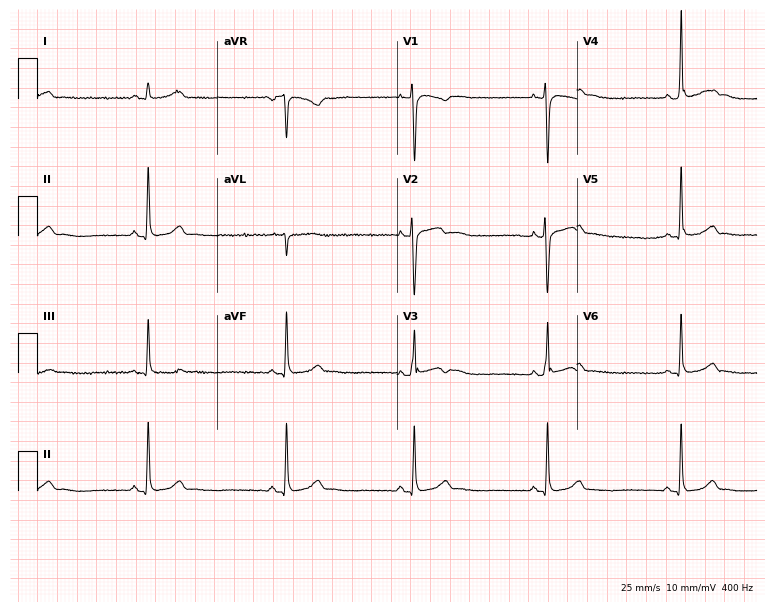
12-lead ECG from a 21-year-old female (7.3-second recording at 400 Hz). Shows sinus bradycardia (a sinus rate of 50 beats per minute or less).